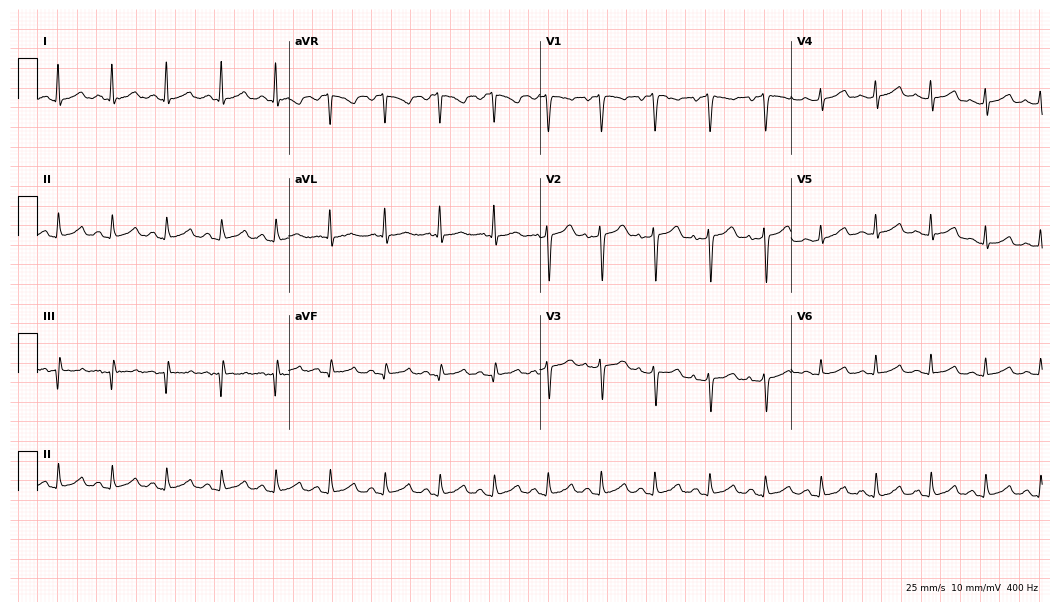
12-lead ECG from a 48-year-old female patient (10.2-second recording at 400 Hz). Shows sinus tachycardia (a sinus rate of 100 beats per minute or more).